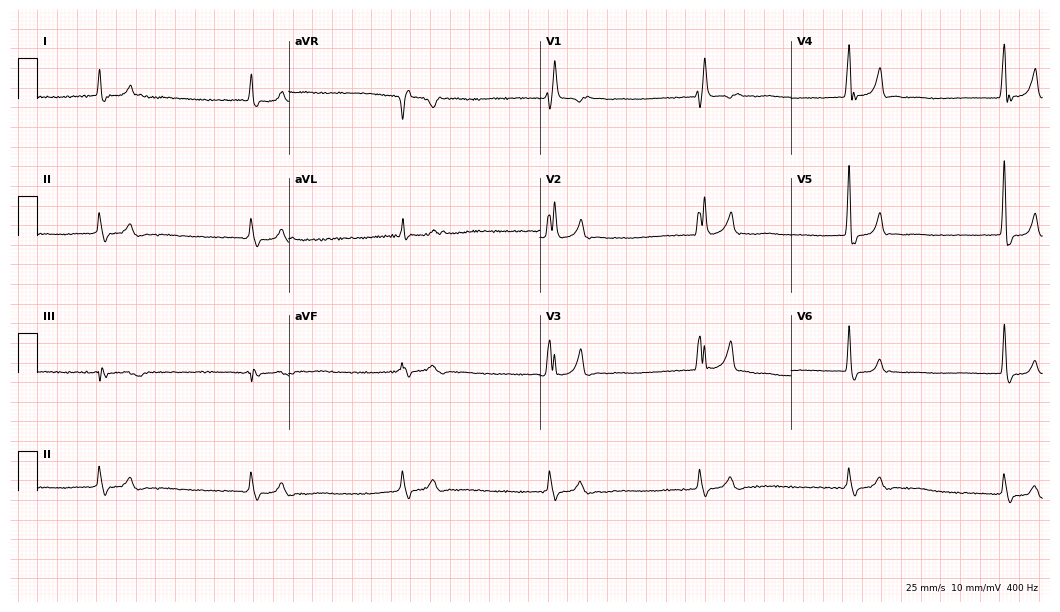
12-lead ECG from a 72-year-old female. Findings include right bundle branch block.